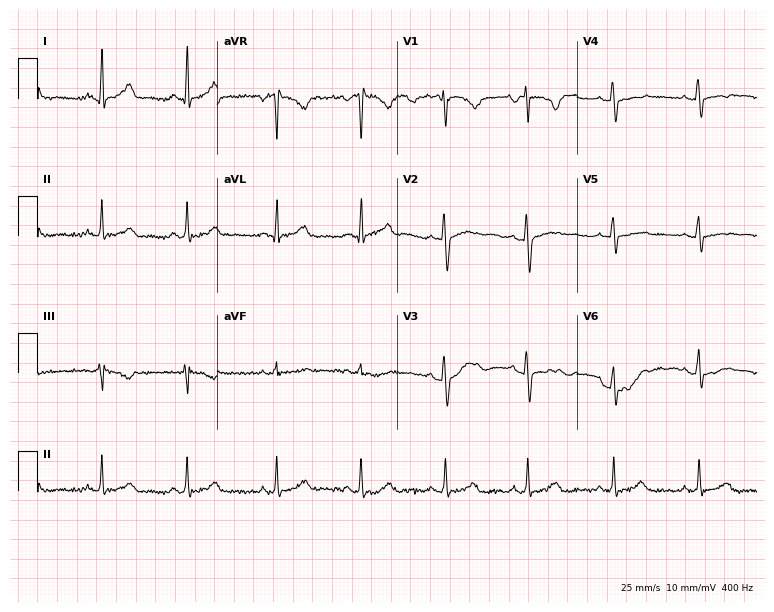
Resting 12-lead electrocardiogram. Patient: a female, 34 years old. Read as a normal ECG.